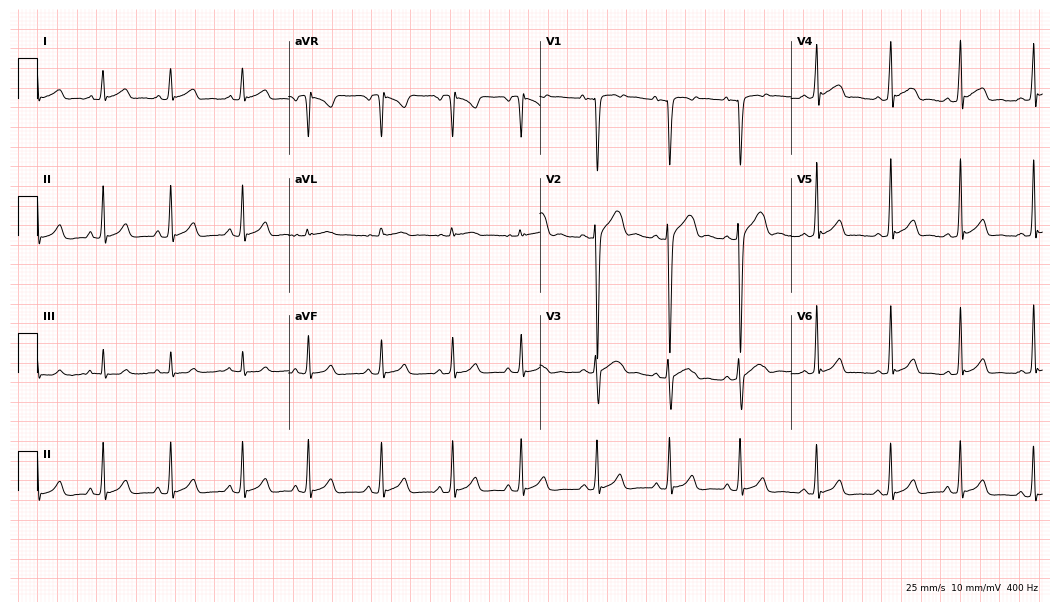
ECG (10.2-second recording at 400 Hz) — an 85-year-old man. Labelled as a normal ECG.